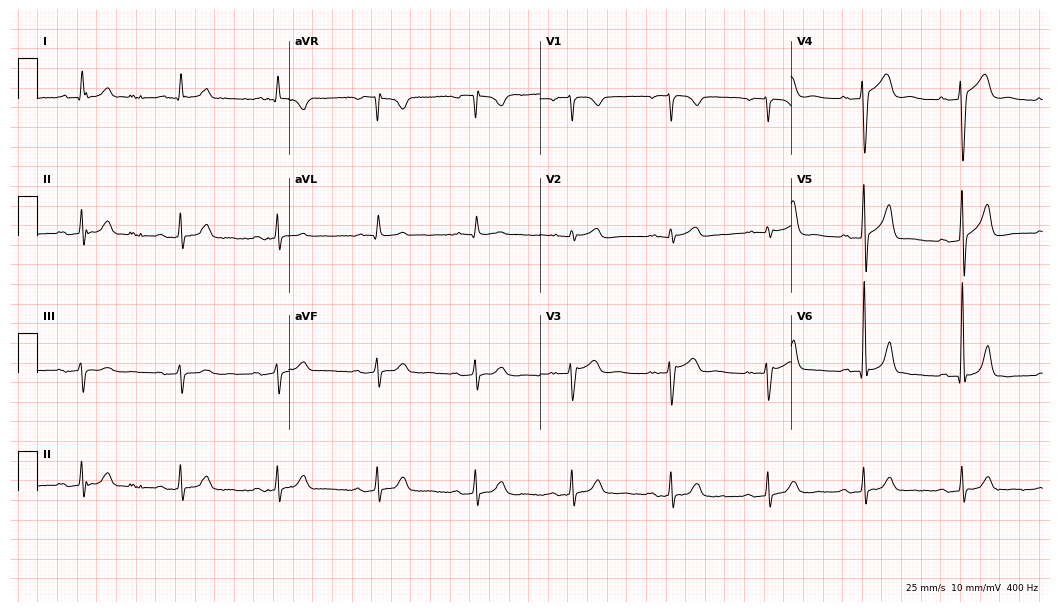
Resting 12-lead electrocardiogram. Patient: an 84-year-old man. Read as a normal ECG.